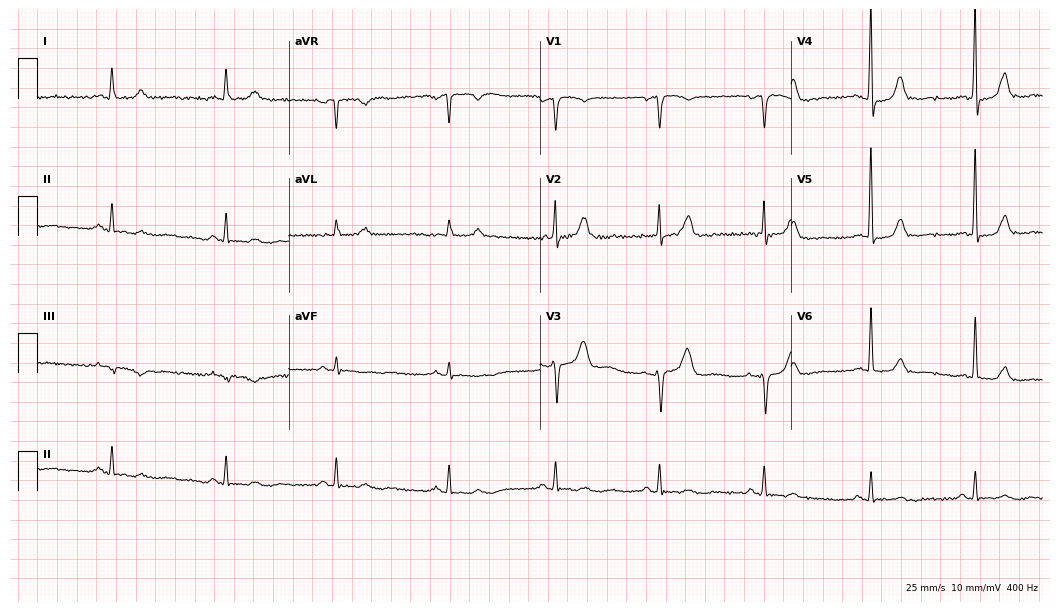
Resting 12-lead electrocardiogram (10.2-second recording at 400 Hz). Patient: a 76-year-old man. Read as a normal ECG.